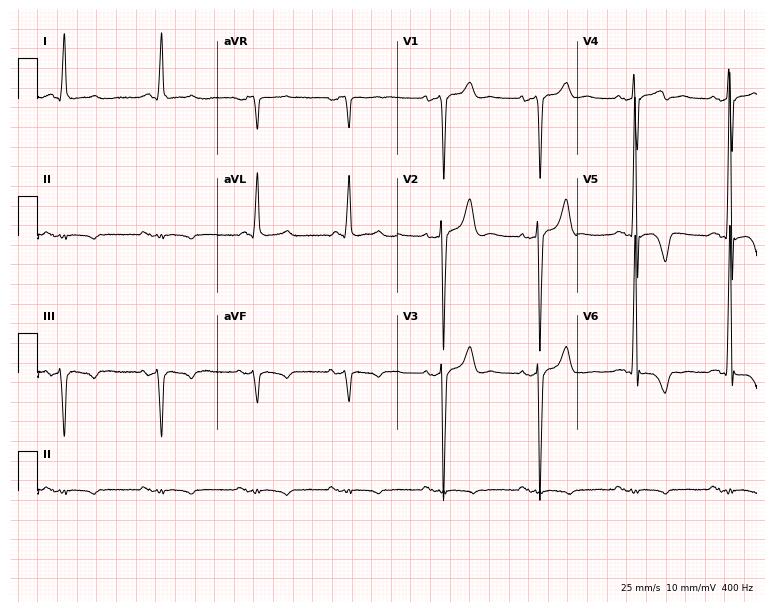
12-lead ECG from a man, 58 years old. Screened for six findings — first-degree AV block, right bundle branch block, left bundle branch block, sinus bradycardia, atrial fibrillation, sinus tachycardia — none is recorded.